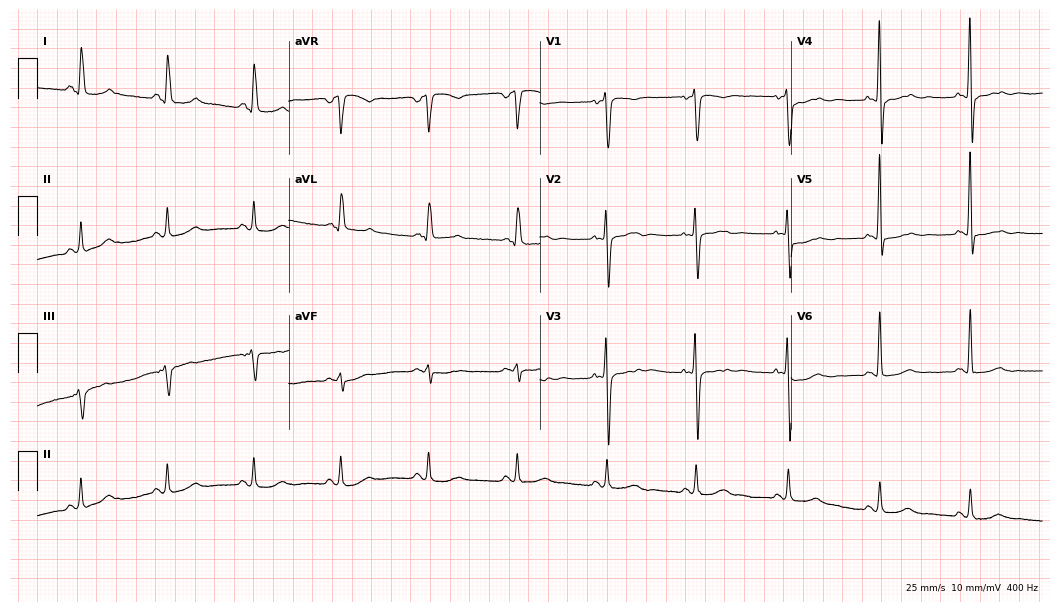
Electrocardiogram, a woman, 54 years old. Overall reading on record: normal ECG.